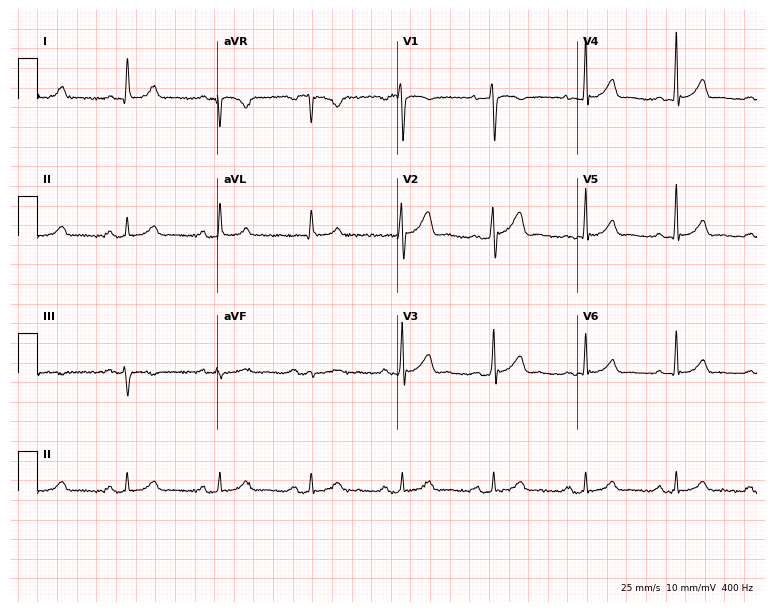
ECG (7.3-second recording at 400 Hz) — a 56-year-old male patient. Labelled as a normal ECG.